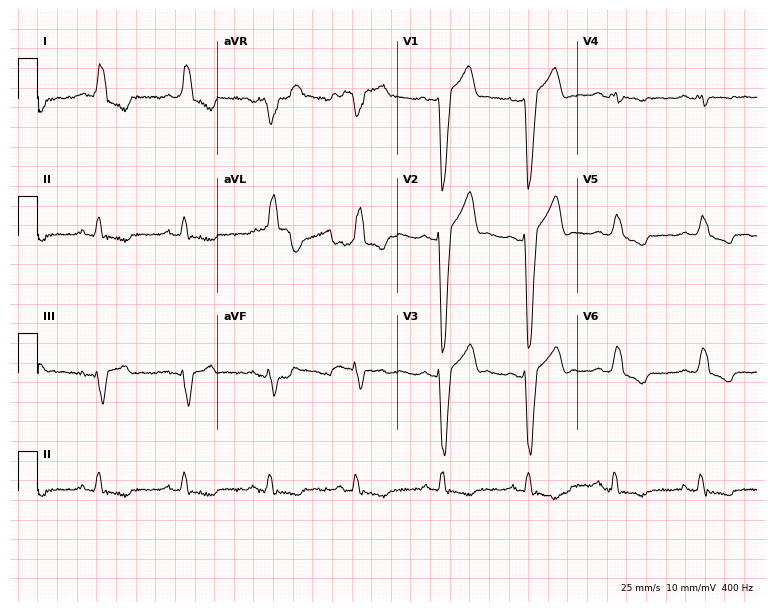
12-lead ECG from a 60-year-old male patient. Shows left bundle branch block.